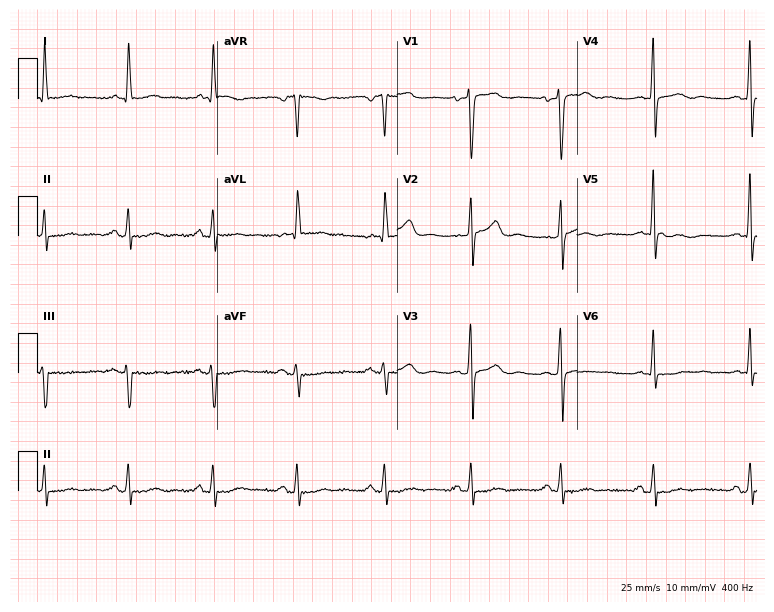
Standard 12-lead ECG recorded from a female patient, 50 years old. Read as a normal ECG.